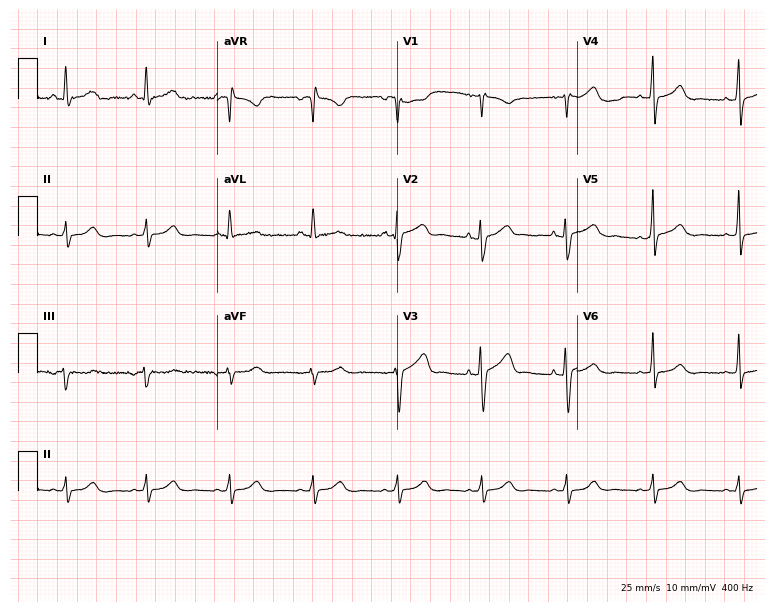
ECG (7.3-second recording at 400 Hz) — a 56-year-old woman. Labelled as a normal ECG.